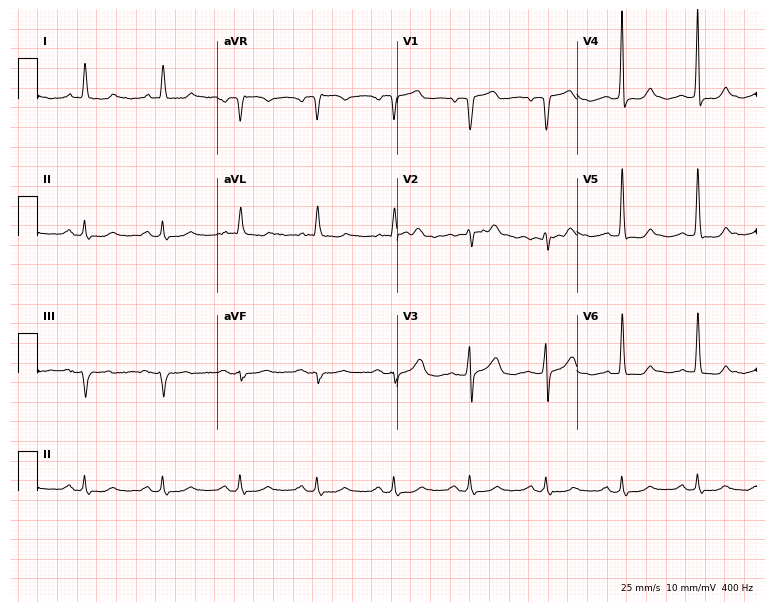
Electrocardiogram, a male, 74 years old. Of the six screened findings (first-degree AV block, right bundle branch block (RBBB), left bundle branch block (LBBB), sinus bradycardia, atrial fibrillation (AF), sinus tachycardia), none is recorded.